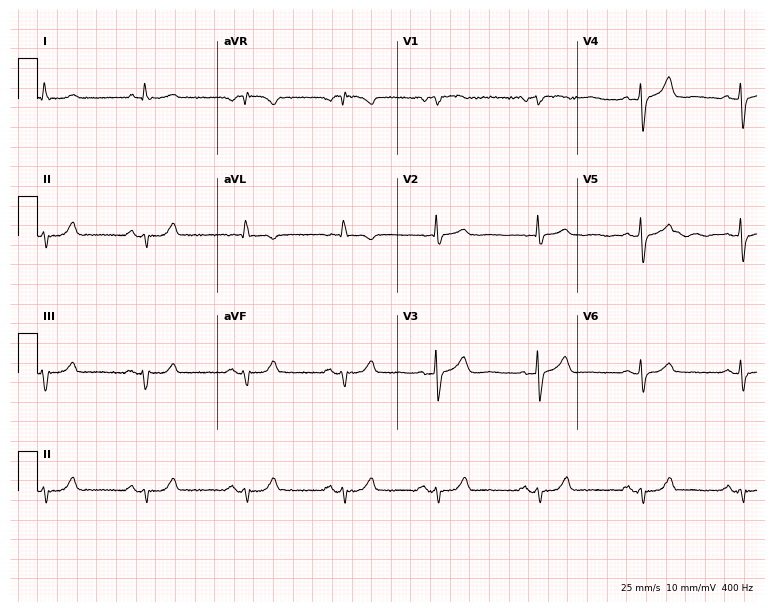
ECG — a female, 76 years old. Screened for six findings — first-degree AV block, right bundle branch block, left bundle branch block, sinus bradycardia, atrial fibrillation, sinus tachycardia — none is recorded.